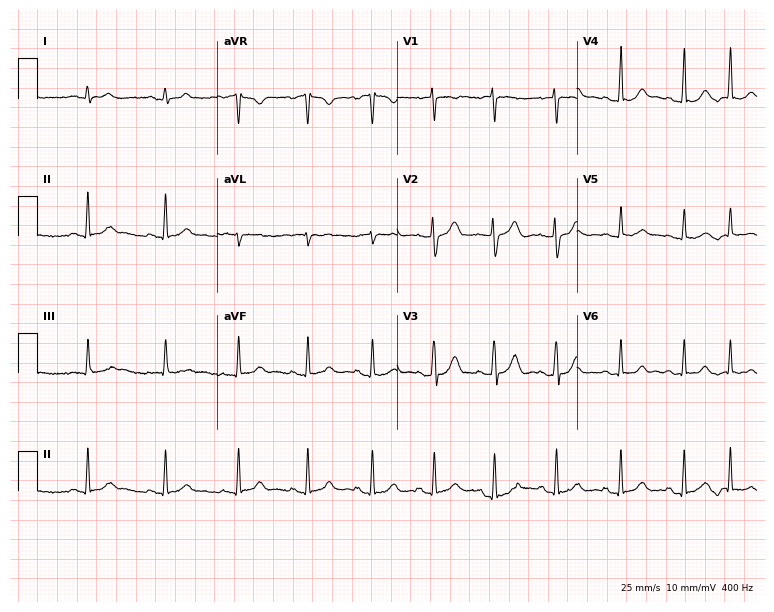
Standard 12-lead ECG recorded from a woman, 18 years old. Read as a normal ECG.